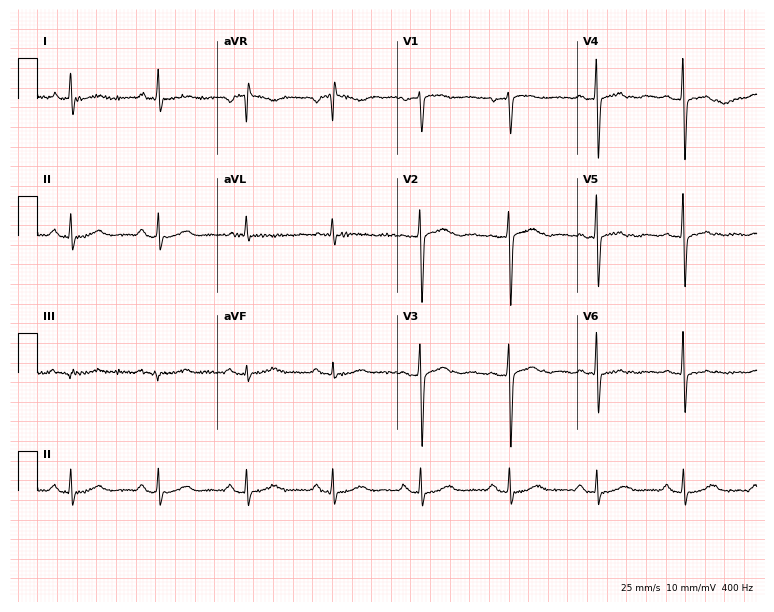
Standard 12-lead ECG recorded from an 81-year-old female patient. None of these six findings is recorded: first-degree AV block, right bundle branch block, left bundle branch block, sinus bradycardia, atrial fibrillation, sinus tachycardia.